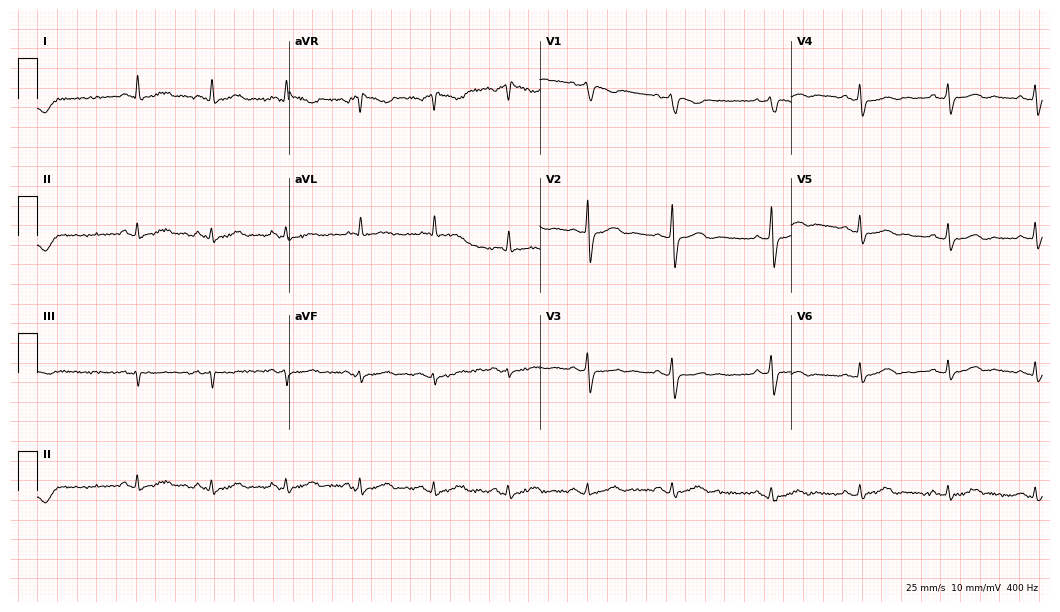
Standard 12-lead ECG recorded from a male patient, 78 years old. None of these six findings is recorded: first-degree AV block, right bundle branch block, left bundle branch block, sinus bradycardia, atrial fibrillation, sinus tachycardia.